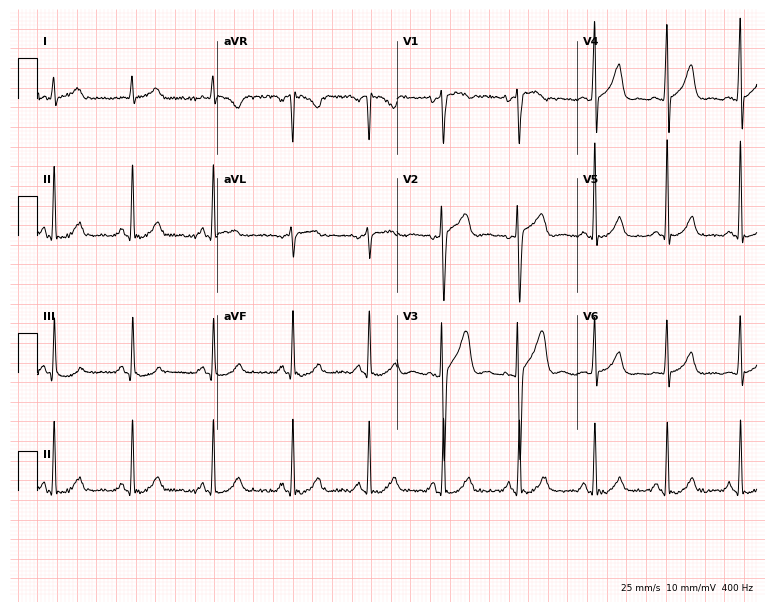
Standard 12-lead ECG recorded from a male, 57 years old. Read as a normal ECG.